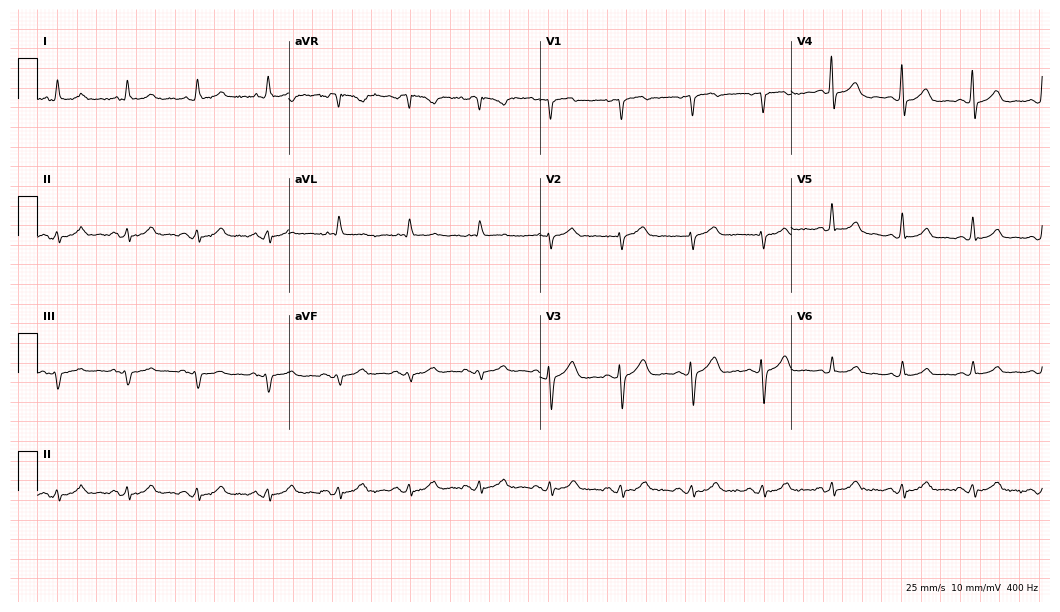
12-lead ECG from a man, 73 years old. Recorded interpretation: within normal limits.